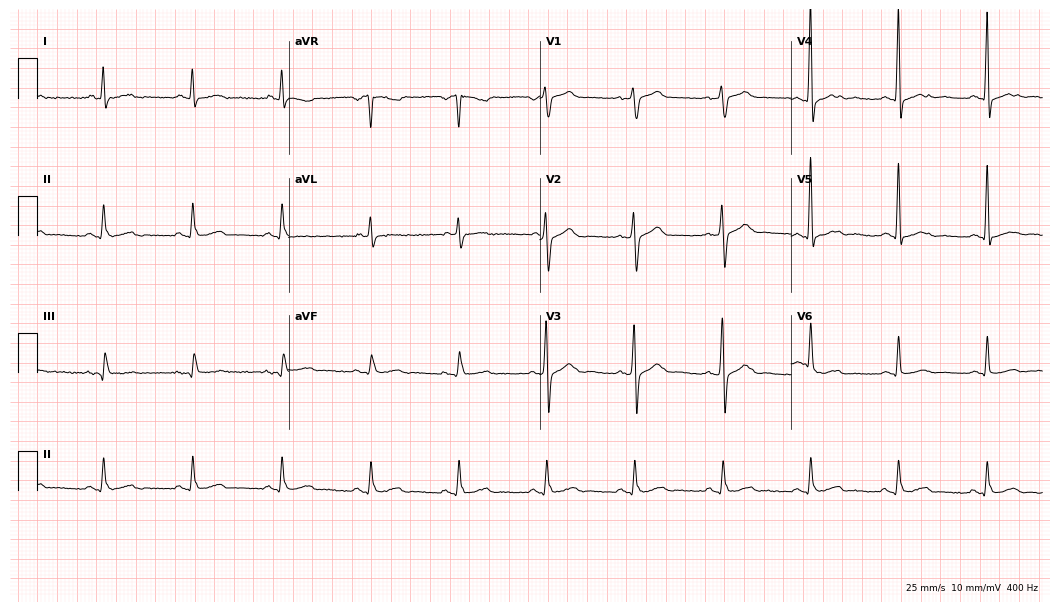
Electrocardiogram (10.2-second recording at 400 Hz), a 72-year-old male. Of the six screened findings (first-degree AV block, right bundle branch block, left bundle branch block, sinus bradycardia, atrial fibrillation, sinus tachycardia), none is recorded.